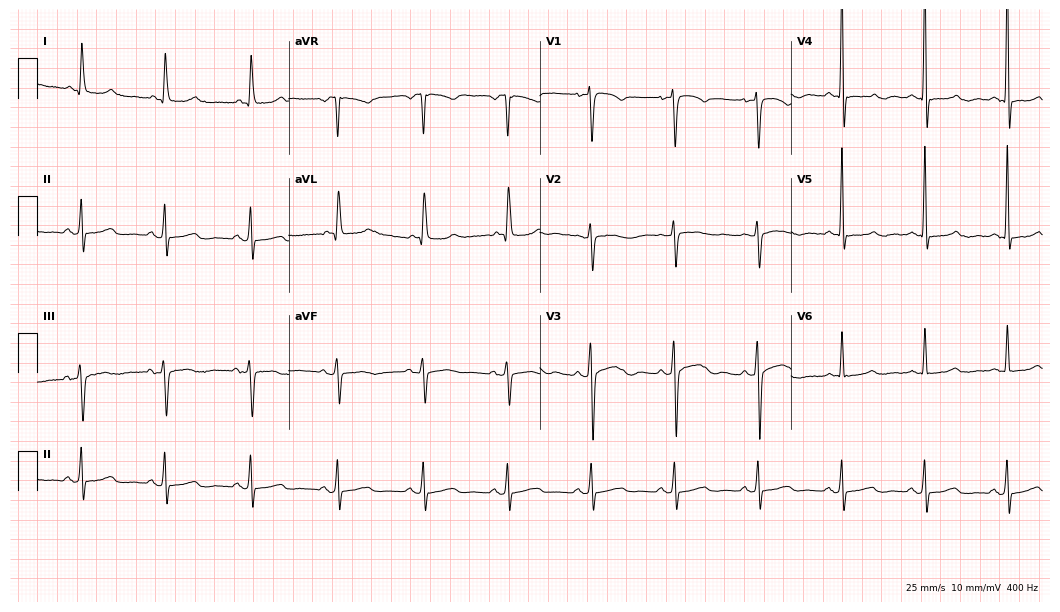
Resting 12-lead electrocardiogram (10.2-second recording at 400 Hz). Patient: a man, 55 years old. None of these six findings is recorded: first-degree AV block, right bundle branch block, left bundle branch block, sinus bradycardia, atrial fibrillation, sinus tachycardia.